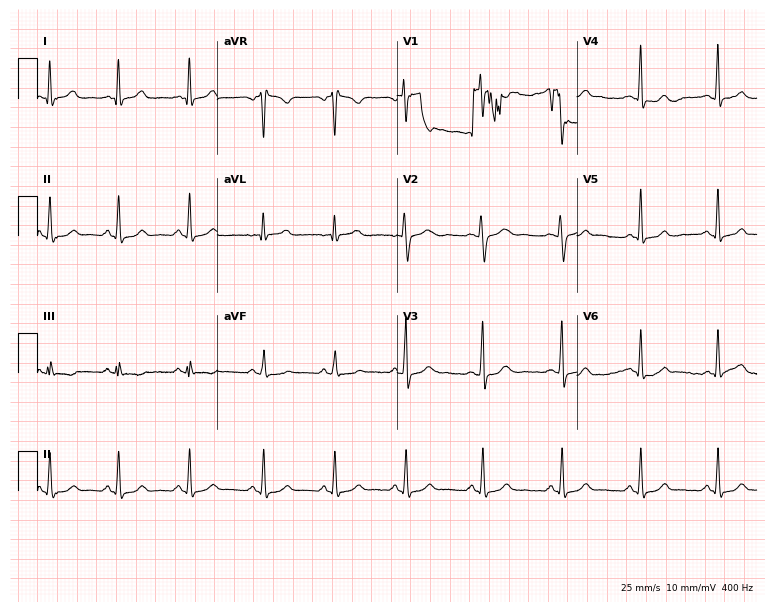
Standard 12-lead ECG recorded from a 25-year-old woman (7.3-second recording at 400 Hz). Read as a normal ECG.